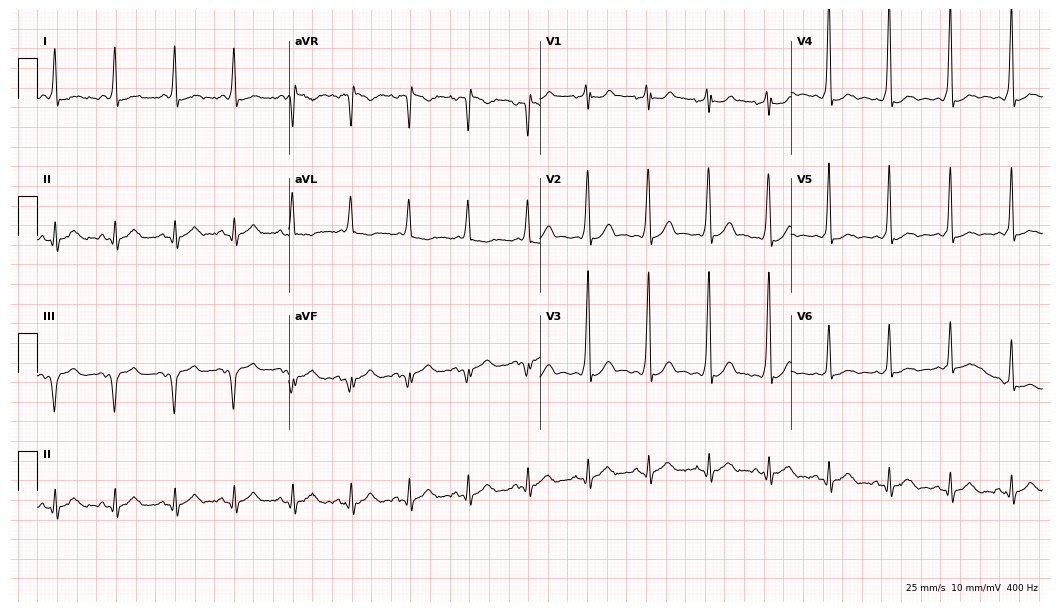
Resting 12-lead electrocardiogram. Patient: a 51-year-old male. None of these six findings is recorded: first-degree AV block, right bundle branch block (RBBB), left bundle branch block (LBBB), sinus bradycardia, atrial fibrillation (AF), sinus tachycardia.